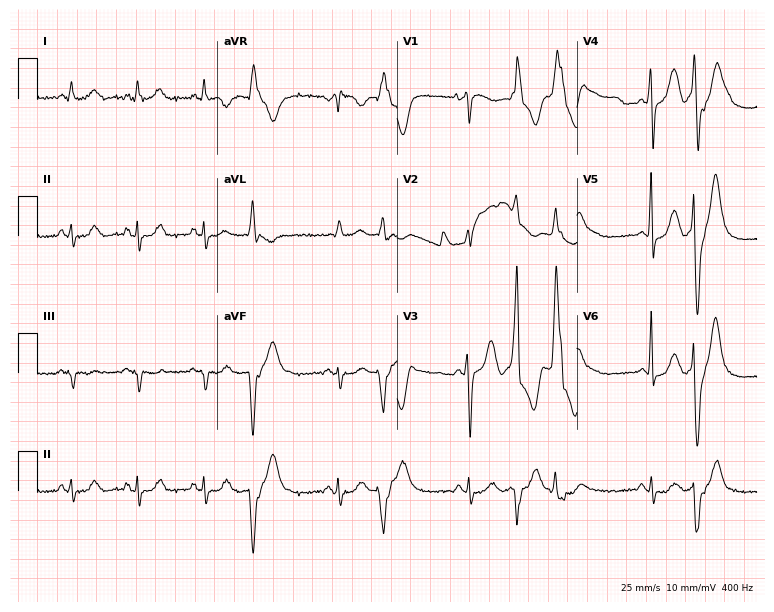
12-lead ECG from a man, 73 years old. Screened for six findings — first-degree AV block, right bundle branch block, left bundle branch block, sinus bradycardia, atrial fibrillation, sinus tachycardia — none is recorded. Findings outside these six are not listed.